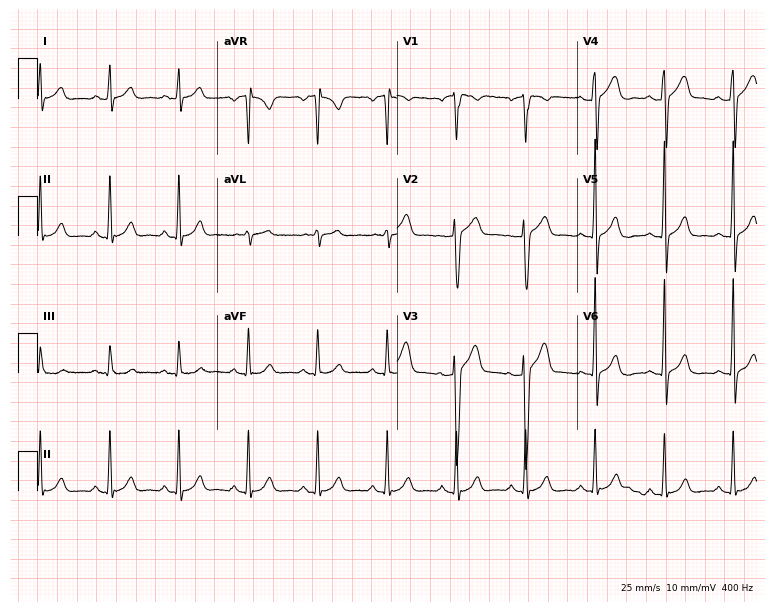
Electrocardiogram, a 45-year-old man. Overall reading on record: normal ECG.